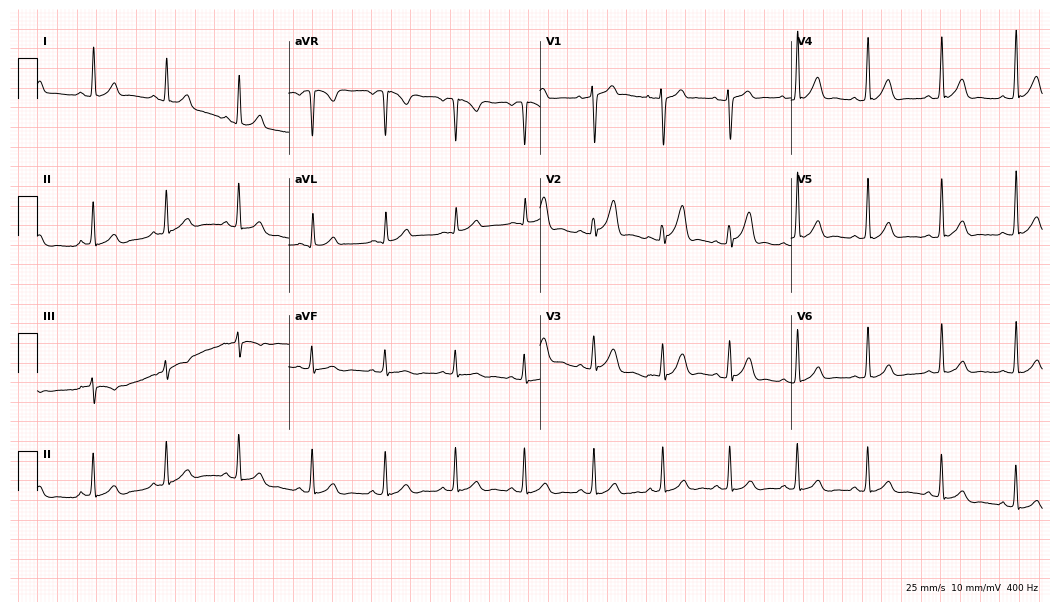
Standard 12-lead ECG recorded from a male, 31 years old. None of these six findings is recorded: first-degree AV block, right bundle branch block, left bundle branch block, sinus bradycardia, atrial fibrillation, sinus tachycardia.